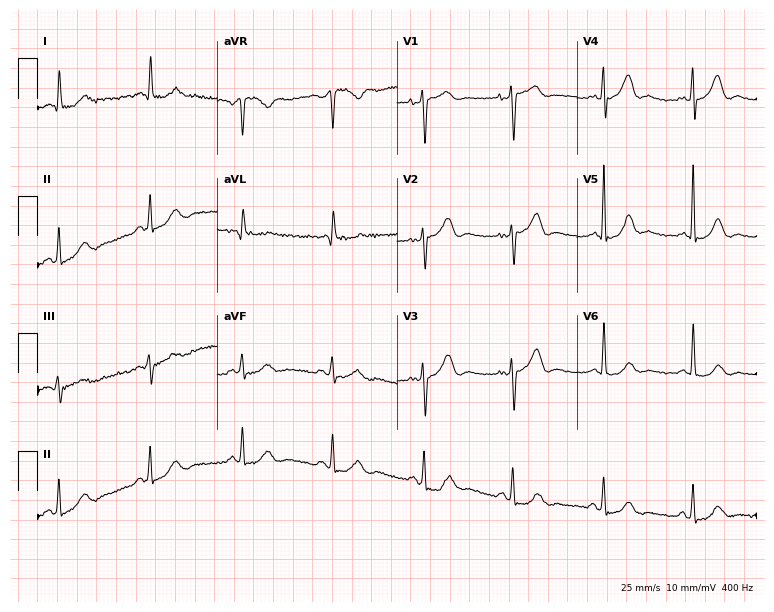
Standard 12-lead ECG recorded from a 77-year-old female patient. None of these six findings is recorded: first-degree AV block, right bundle branch block (RBBB), left bundle branch block (LBBB), sinus bradycardia, atrial fibrillation (AF), sinus tachycardia.